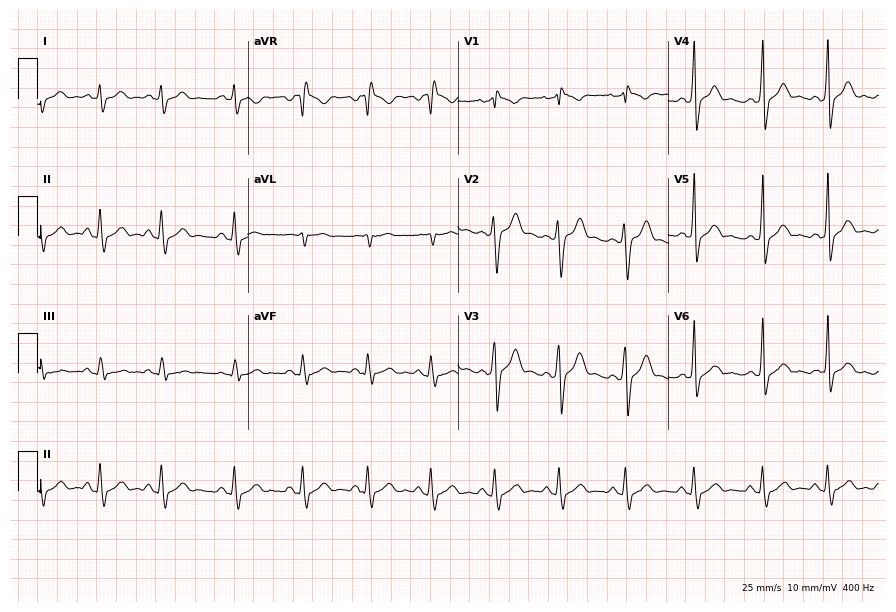
ECG (8.6-second recording at 400 Hz) — a man, 33 years old. Screened for six findings — first-degree AV block, right bundle branch block (RBBB), left bundle branch block (LBBB), sinus bradycardia, atrial fibrillation (AF), sinus tachycardia — none is recorded. Only these six findings were labelled.